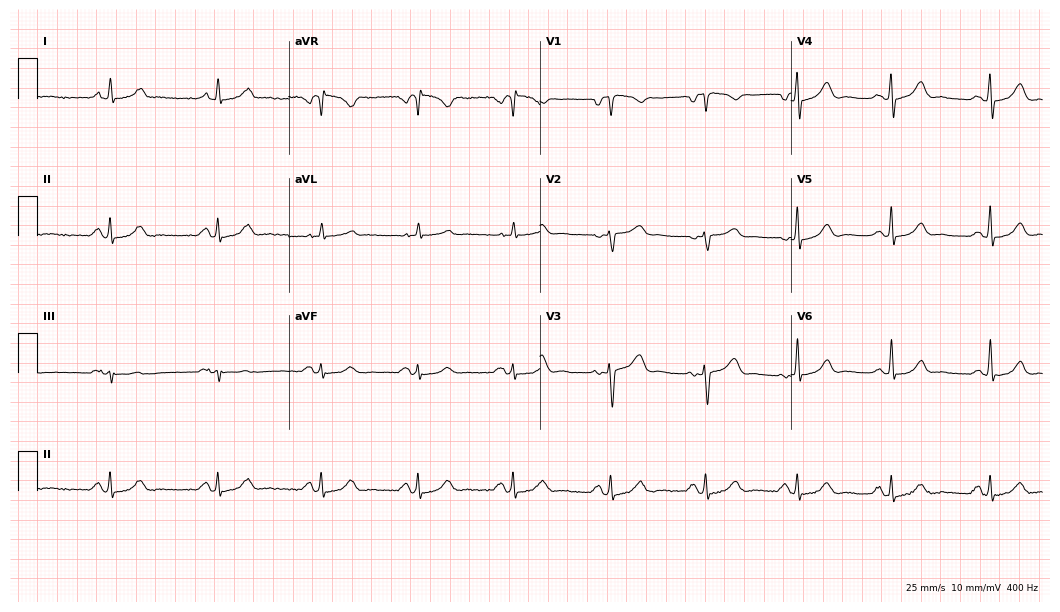
Resting 12-lead electrocardiogram. Patient: a female, 54 years old. Read as a normal ECG.